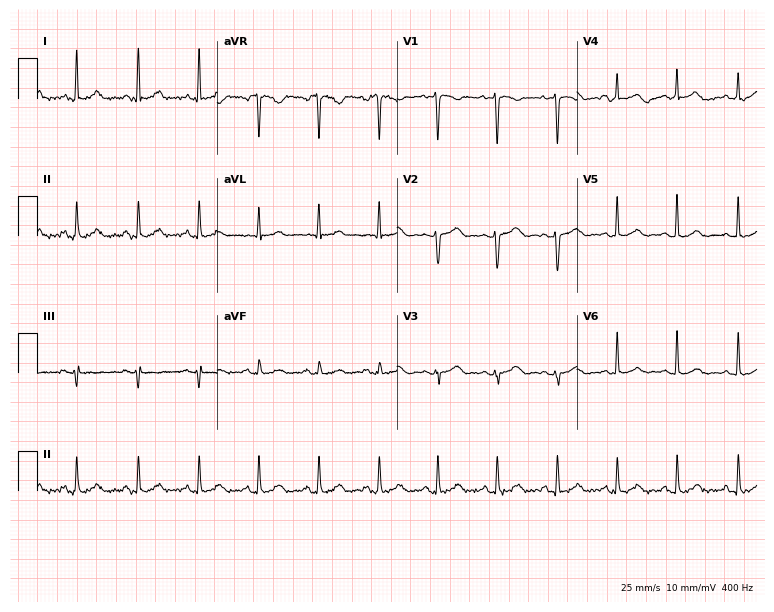
12-lead ECG from a 36-year-old female patient (7.3-second recording at 400 Hz). No first-degree AV block, right bundle branch block (RBBB), left bundle branch block (LBBB), sinus bradycardia, atrial fibrillation (AF) or sinus tachycardia recorded for this tracing.